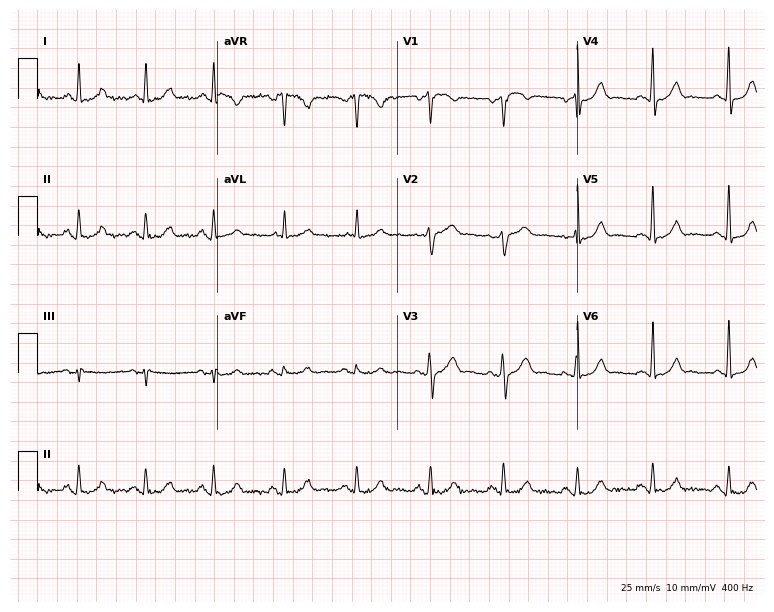
12-lead ECG from a 56-year-old female patient. Recorded interpretation: within normal limits.